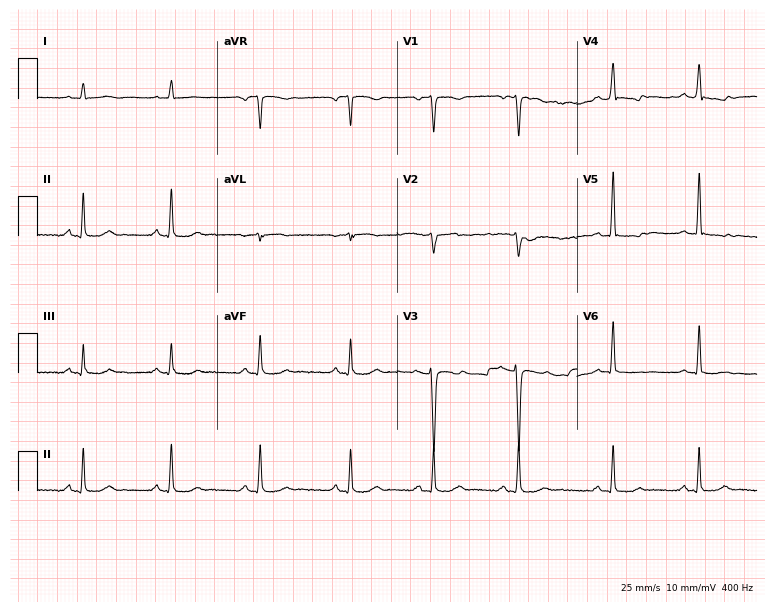
Resting 12-lead electrocardiogram. Patient: a female, 30 years old. None of these six findings is recorded: first-degree AV block, right bundle branch block, left bundle branch block, sinus bradycardia, atrial fibrillation, sinus tachycardia.